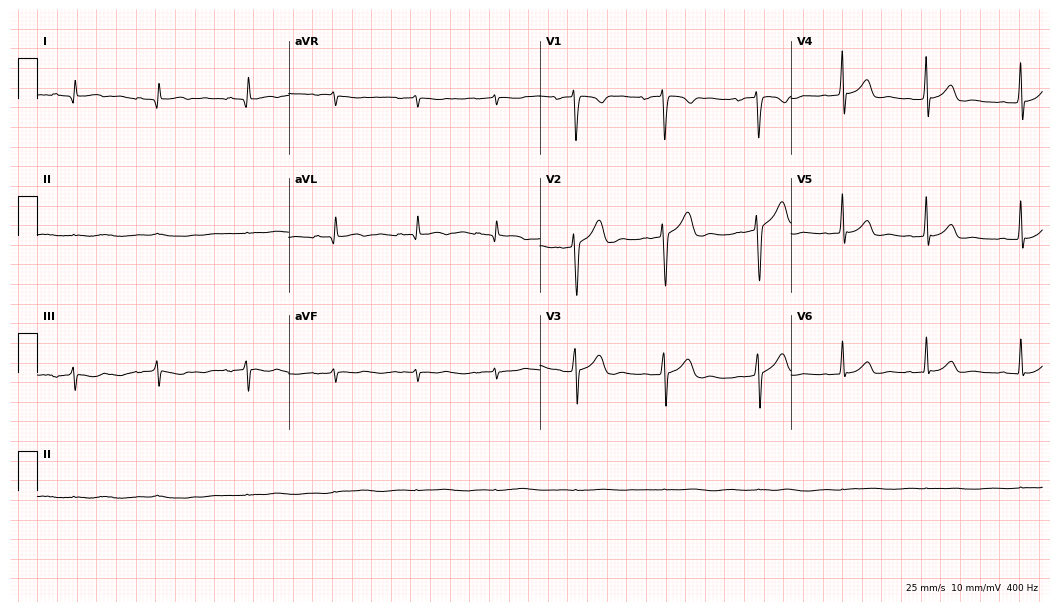
Standard 12-lead ECG recorded from a 17-year-old female patient. None of these six findings is recorded: first-degree AV block, right bundle branch block (RBBB), left bundle branch block (LBBB), sinus bradycardia, atrial fibrillation (AF), sinus tachycardia. Only these six findings were labelled.